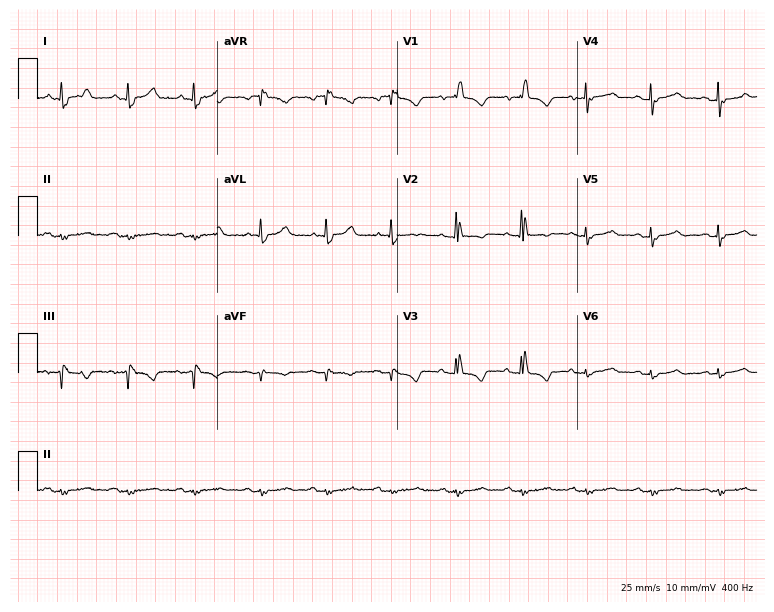
12-lead ECG (7.3-second recording at 400 Hz) from a female patient, 74 years old. Screened for six findings — first-degree AV block, right bundle branch block (RBBB), left bundle branch block (LBBB), sinus bradycardia, atrial fibrillation (AF), sinus tachycardia — none is recorded. Only these six findings were labelled.